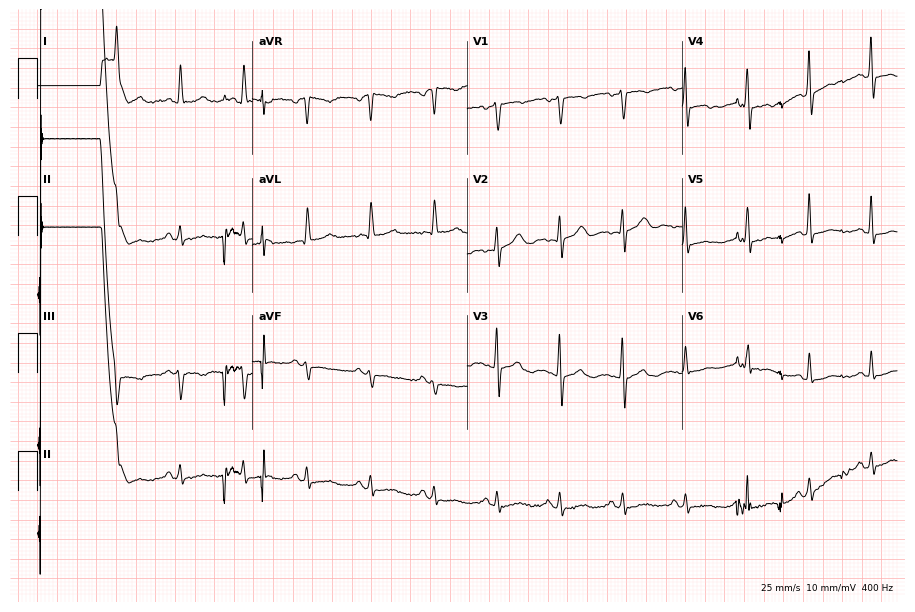
12-lead ECG (8.8-second recording at 400 Hz) from a woman, 80 years old. Screened for six findings — first-degree AV block, right bundle branch block, left bundle branch block, sinus bradycardia, atrial fibrillation, sinus tachycardia — none is recorded. Only these six findings were labelled.